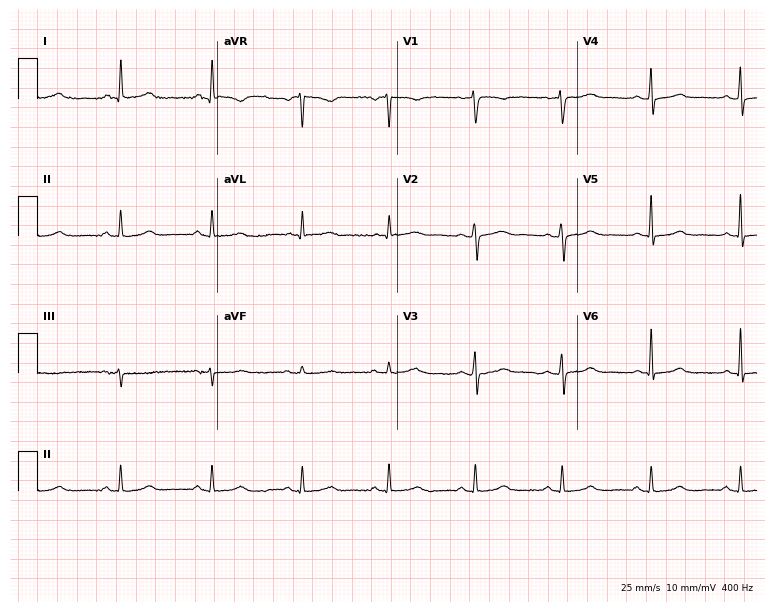
Resting 12-lead electrocardiogram (7.3-second recording at 400 Hz). Patient: a female, 57 years old. Read as a normal ECG.